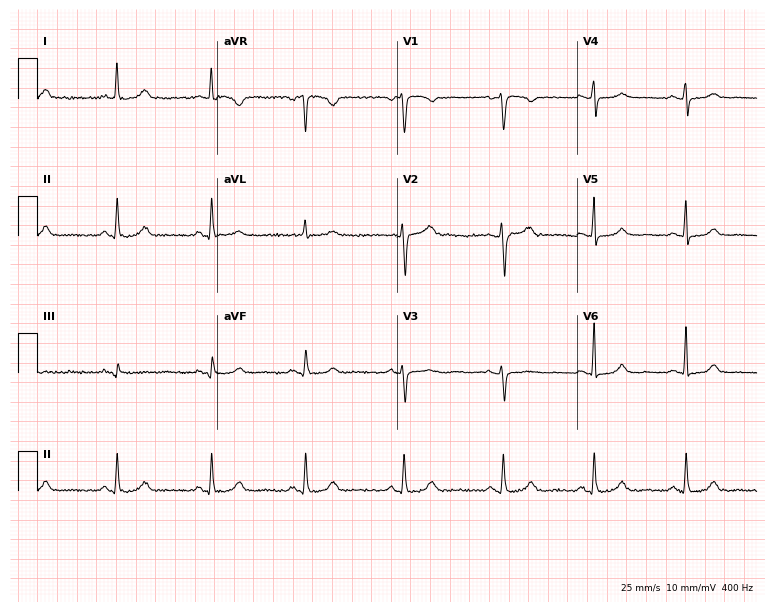
Electrocardiogram, a 56-year-old female. Of the six screened findings (first-degree AV block, right bundle branch block (RBBB), left bundle branch block (LBBB), sinus bradycardia, atrial fibrillation (AF), sinus tachycardia), none is recorded.